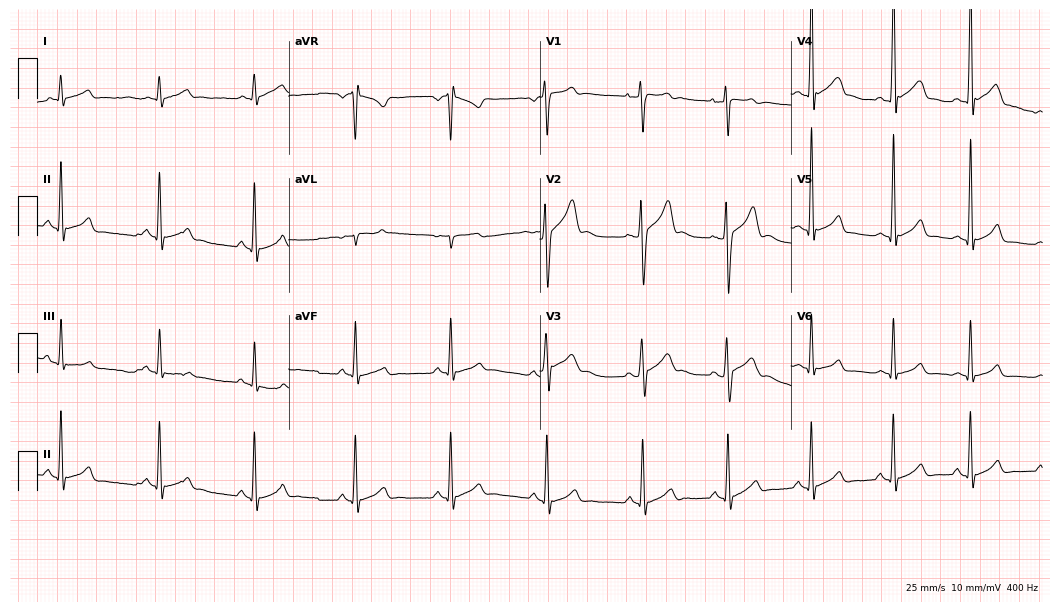
Electrocardiogram, a man, 19 years old. Of the six screened findings (first-degree AV block, right bundle branch block, left bundle branch block, sinus bradycardia, atrial fibrillation, sinus tachycardia), none is recorded. Other findings, if any, are not listed.